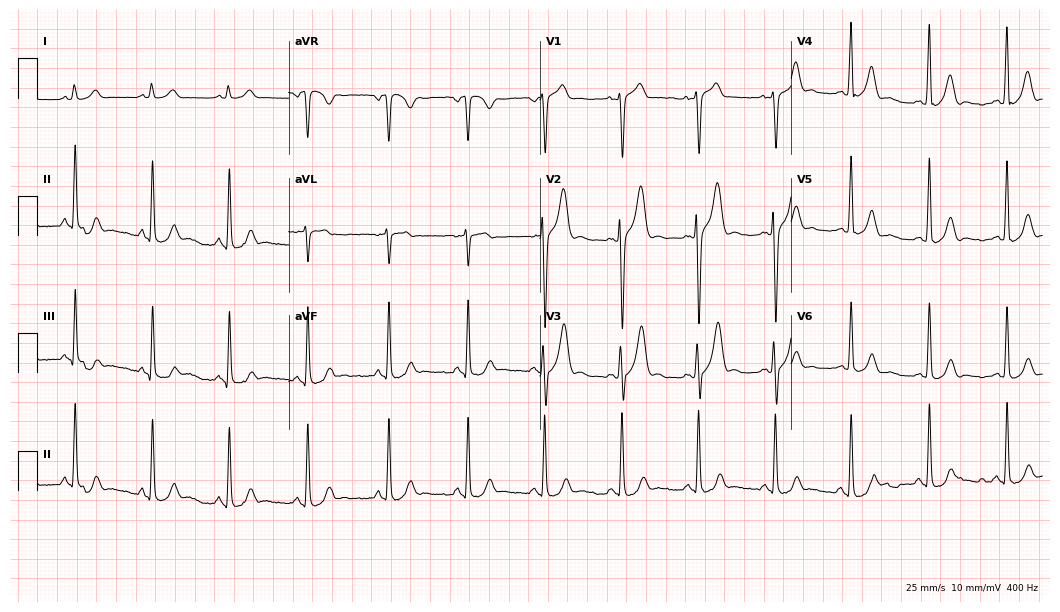
12-lead ECG (10.2-second recording at 400 Hz) from a man, 29 years old. Labelled as a normal ECG.